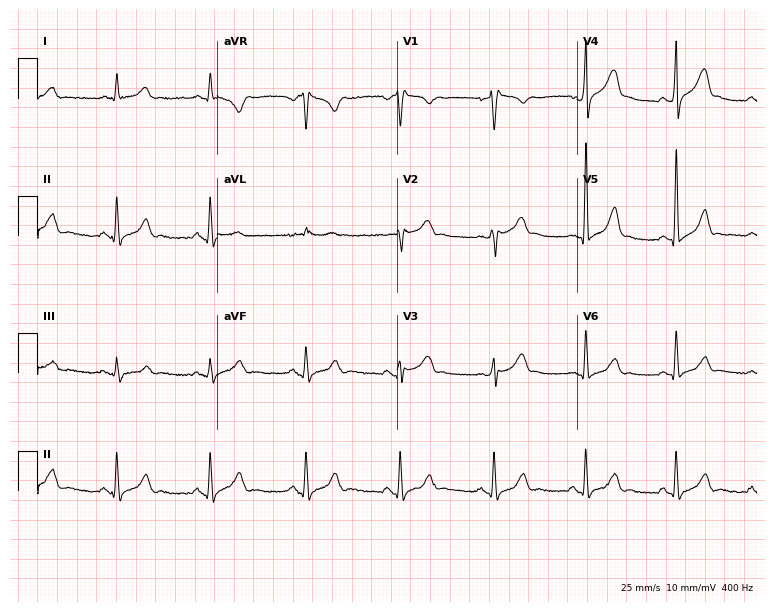
Electrocardiogram (7.3-second recording at 400 Hz), a 59-year-old man. Overall reading on record: normal ECG.